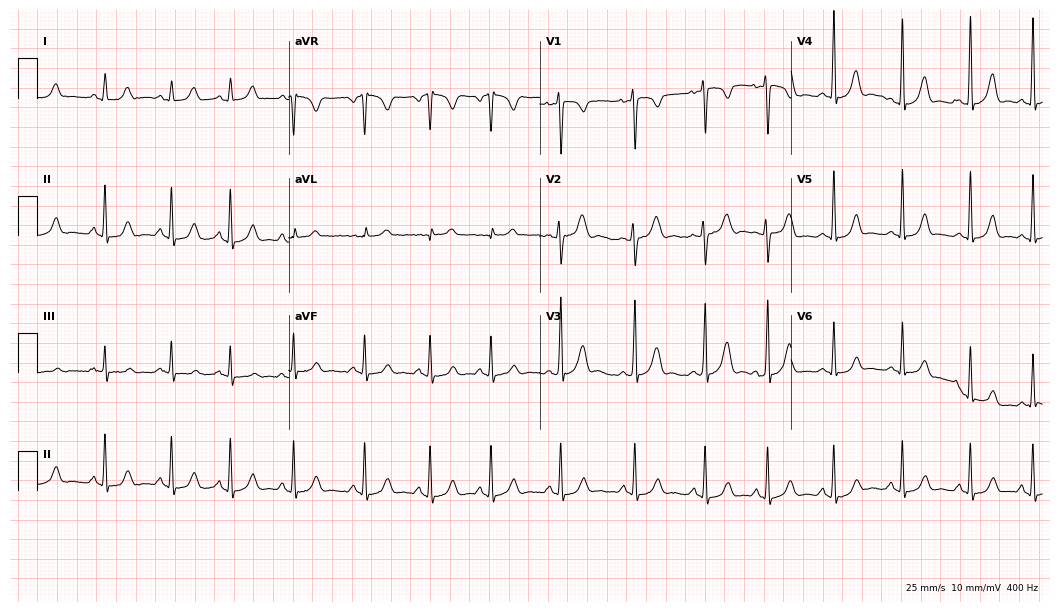
Electrocardiogram, a female patient, 22 years old. Overall reading on record: normal ECG.